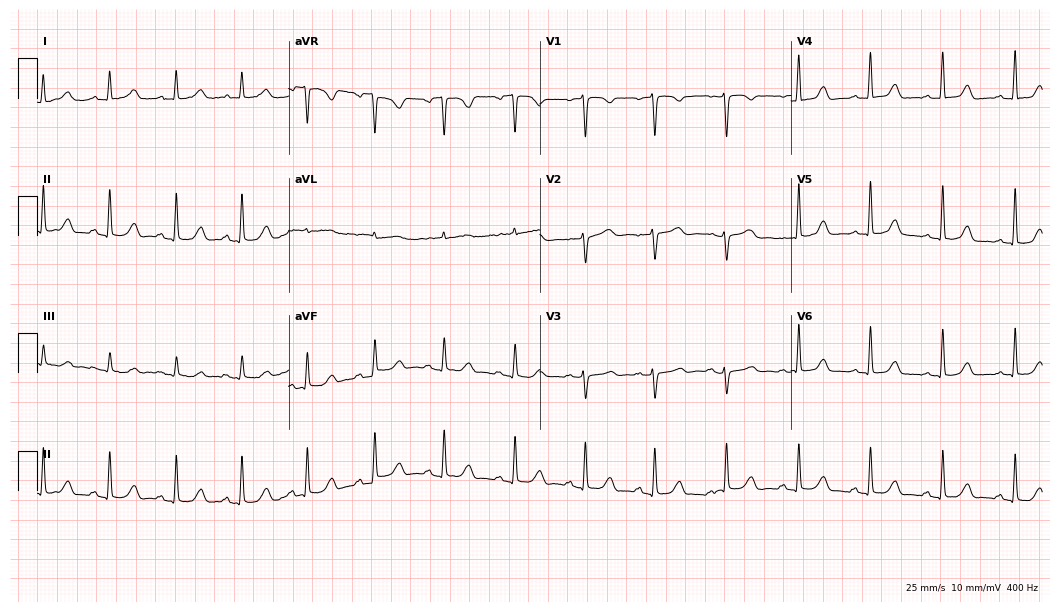
ECG — a 65-year-old woman. Labelled as a normal ECG.